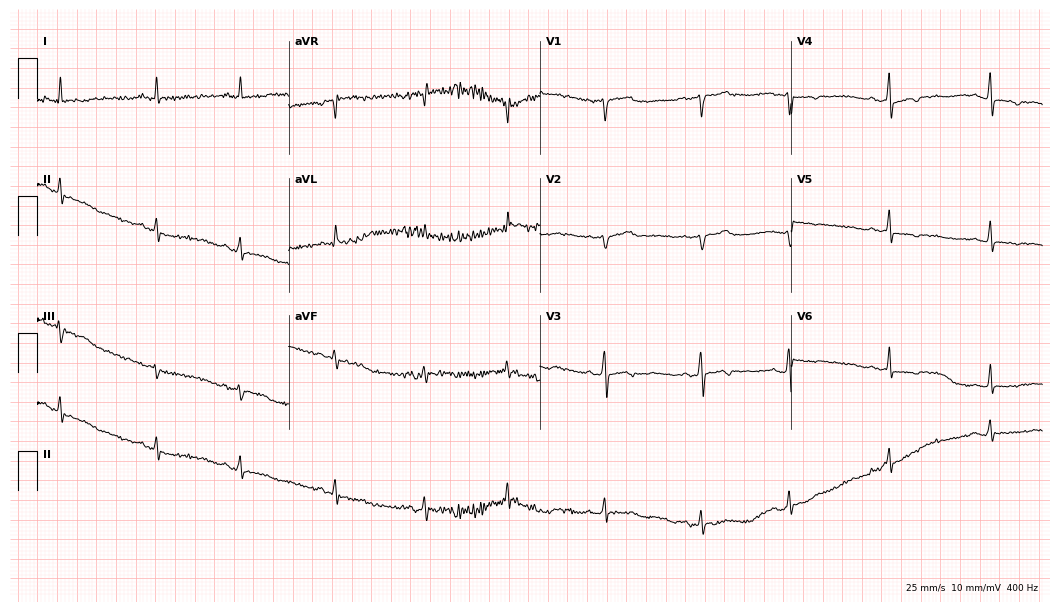
12-lead ECG from a 31-year-old female patient. No first-degree AV block, right bundle branch block, left bundle branch block, sinus bradycardia, atrial fibrillation or sinus tachycardia recorded for this tracing. Findings outside these six are not listed.